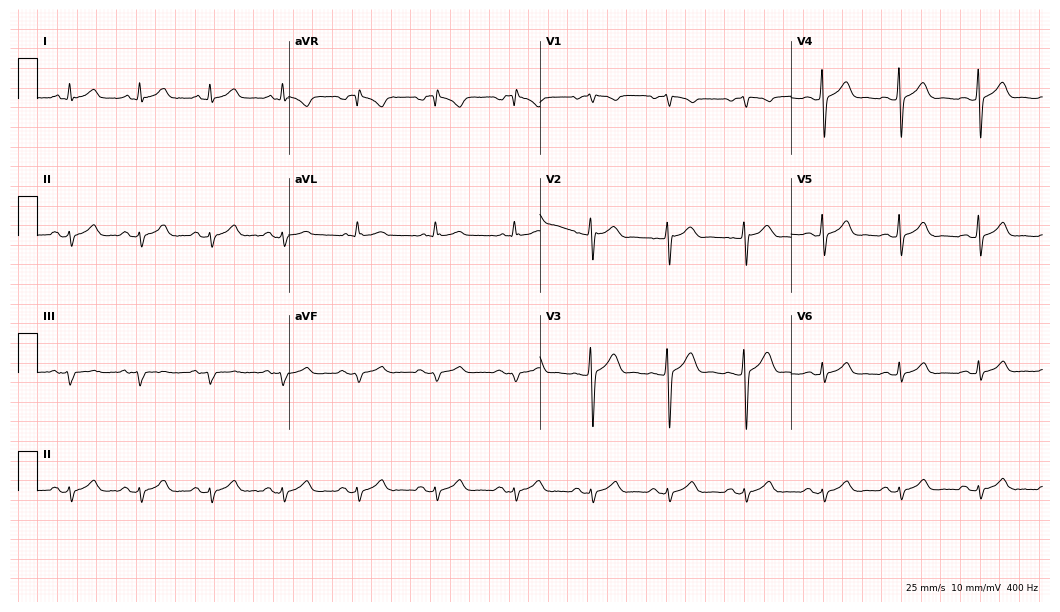
Electrocardiogram (10.2-second recording at 400 Hz), a 21-year-old male patient. Of the six screened findings (first-degree AV block, right bundle branch block, left bundle branch block, sinus bradycardia, atrial fibrillation, sinus tachycardia), none is recorded.